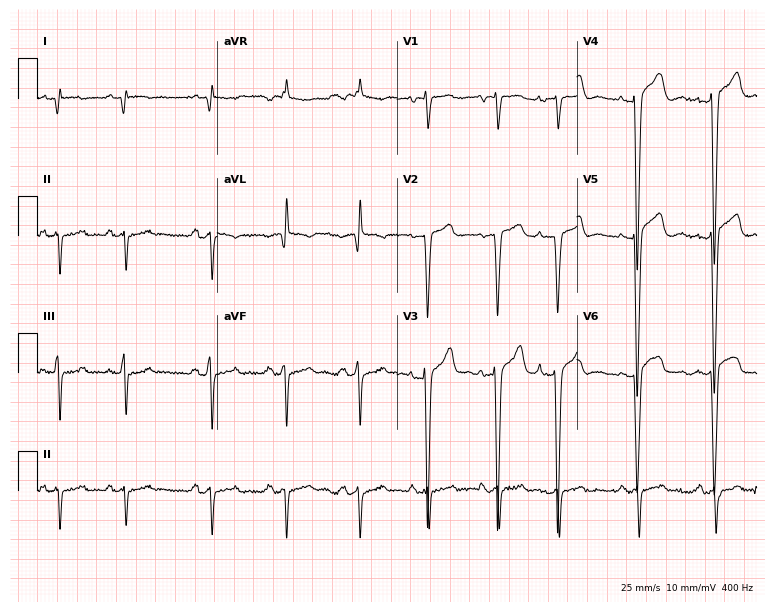
Standard 12-lead ECG recorded from a 68-year-old male patient. None of these six findings is recorded: first-degree AV block, right bundle branch block (RBBB), left bundle branch block (LBBB), sinus bradycardia, atrial fibrillation (AF), sinus tachycardia.